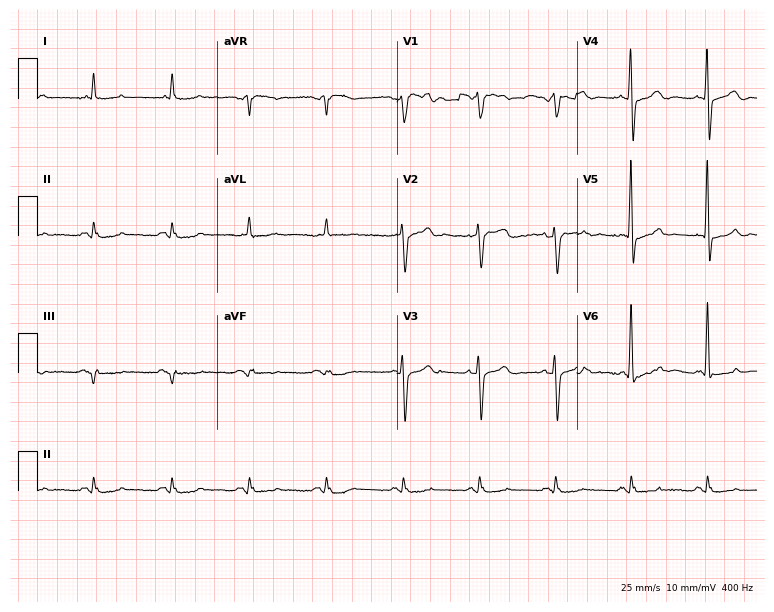
Standard 12-lead ECG recorded from a male, 78 years old. None of these six findings is recorded: first-degree AV block, right bundle branch block (RBBB), left bundle branch block (LBBB), sinus bradycardia, atrial fibrillation (AF), sinus tachycardia. Findings outside these six are not listed.